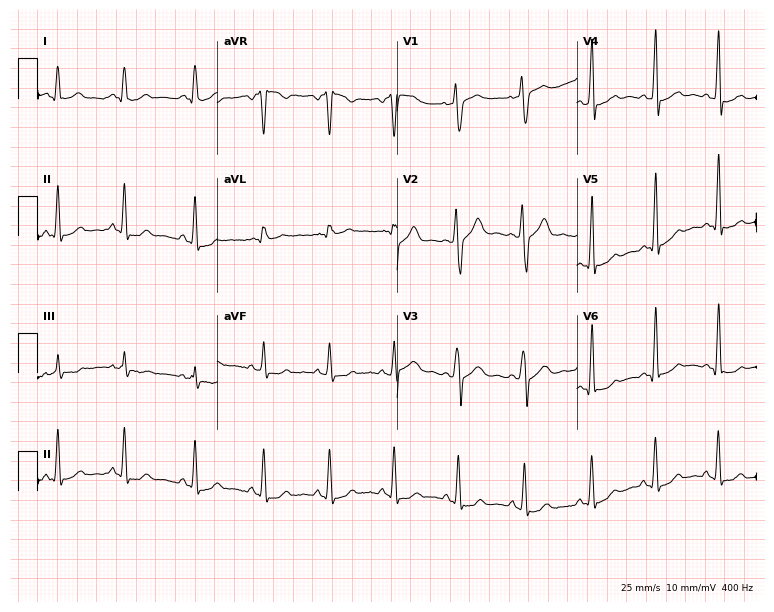
12-lead ECG from a 27-year-old man. Screened for six findings — first-degree AV block, right bundle branch block, left bundle branch block, sinus bradycardia, atrial fibrillation, sinus tachycardia — none is recorded. Only these six findings were labelled.